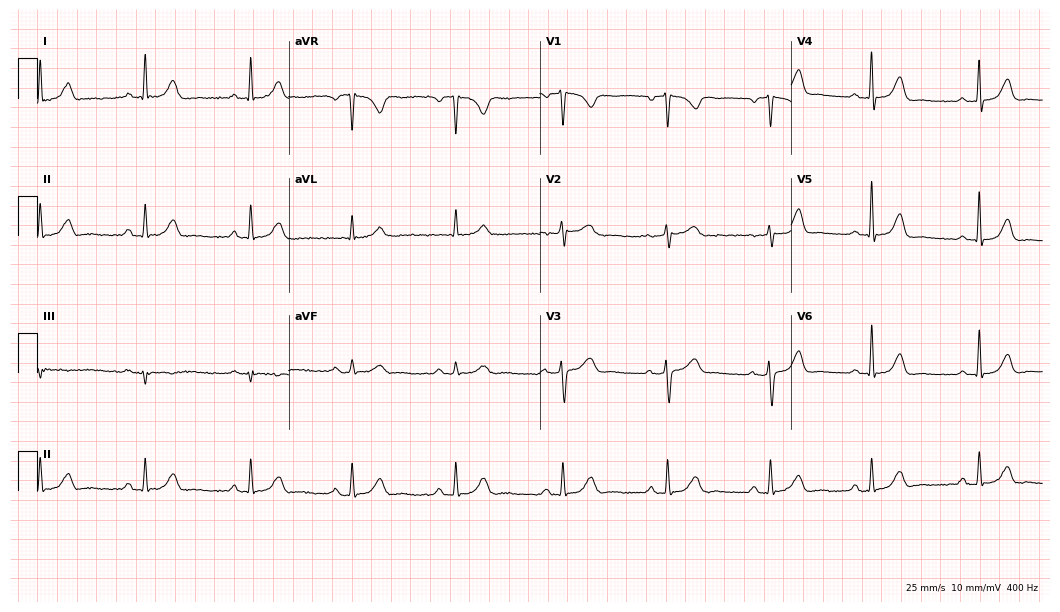
Resting 12-lead electrocardiogram. Patient: a female, 39 years old. Read as a normal ECG.